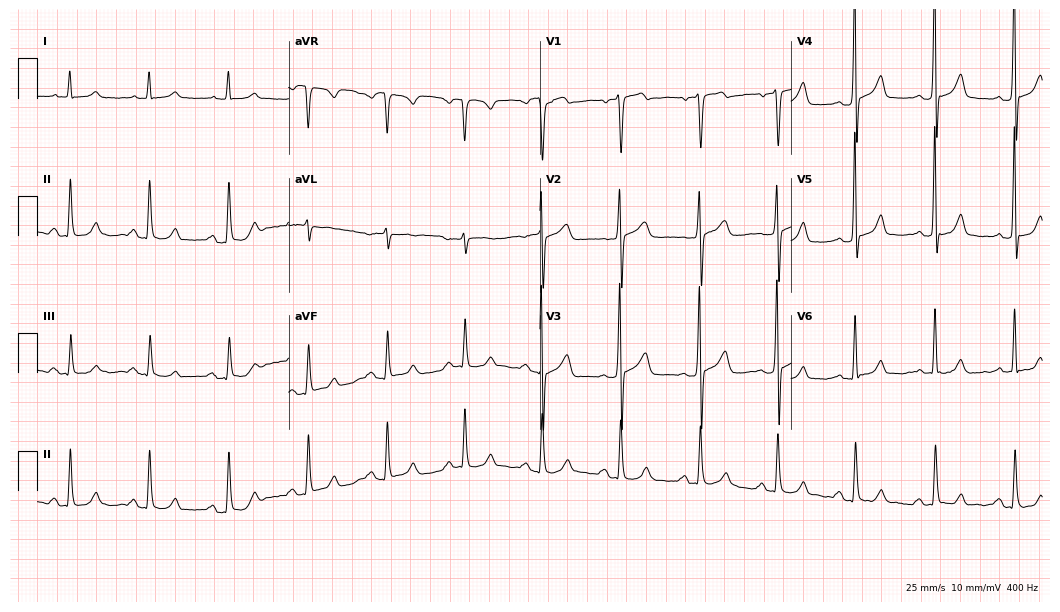
Electrocardiogram (10.2-second recording at 400 Hz), a 65-year-old male patient. Overall reading on record: normal ECG.